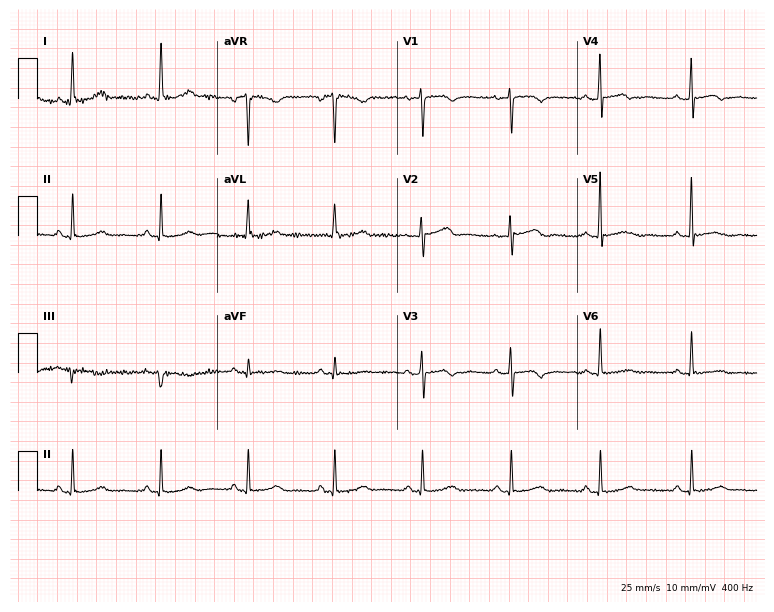
ECG (7.3-second recording at 400 Hz) — a woman, 53 years old. Labelled as a normal ECG.